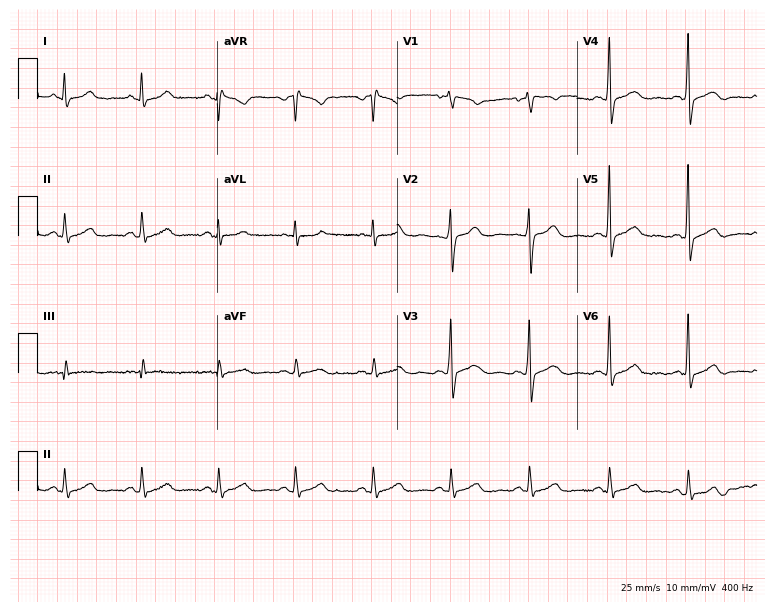
Standard 12-lead ECG recorded from a 47-year-old male (7.3-second recording at 400 Hz). Read as a normal ECG.